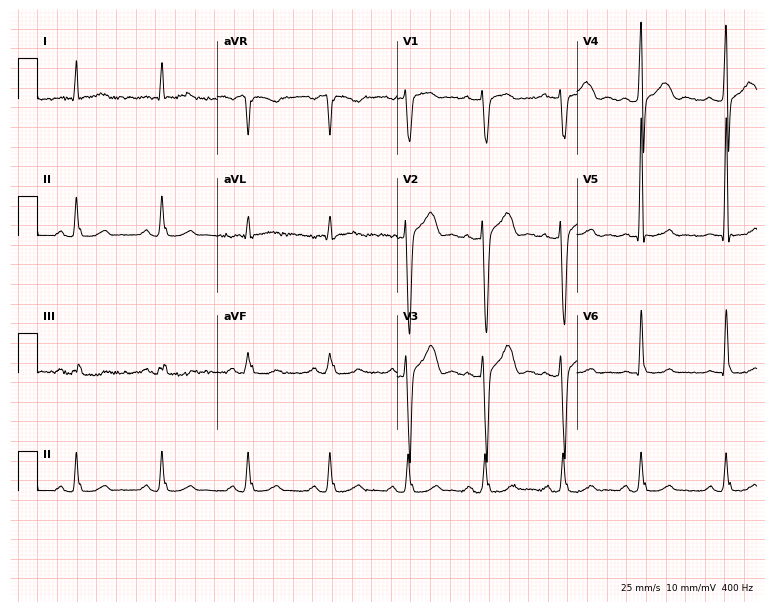
Resting 12-lead electrocardiogram. Patient: a male, 47 years old. None of these six findings is recorded: first-degree AV block, right bundle branch block, left bundle branch block, sinus bradycardia, atrial fibrillation, sinus tachycardia. Other findings, if any, are not listed.